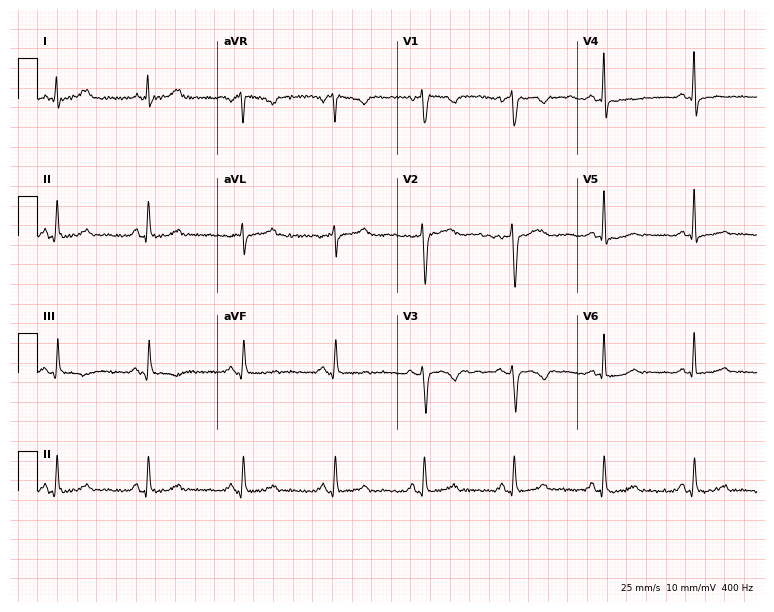
Electrocardiogram (7.3-second recording at 400 Hz), a woman, 48 years old. Overall reading on record: normal ECG.